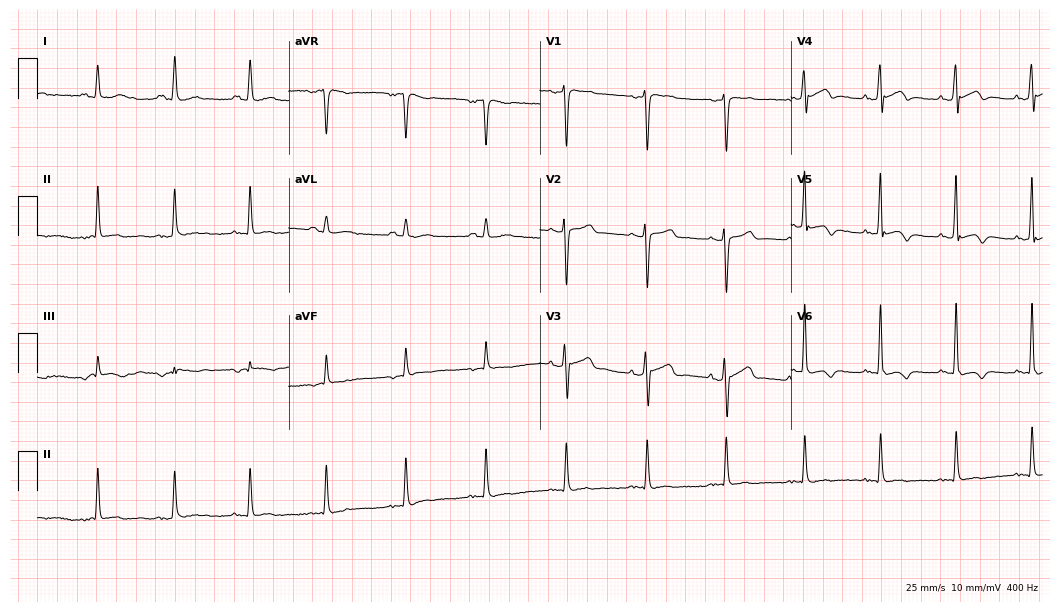
12-lead ECG from a male, 37 years old. No first-degree AV block, right bundle branch block (RBBB), left bundle branch block (LBBB), sinus bradycardia, atrial fibrillation (AF) or sinus tachycardia recorded for this tracing. Only these six findings were labelled.